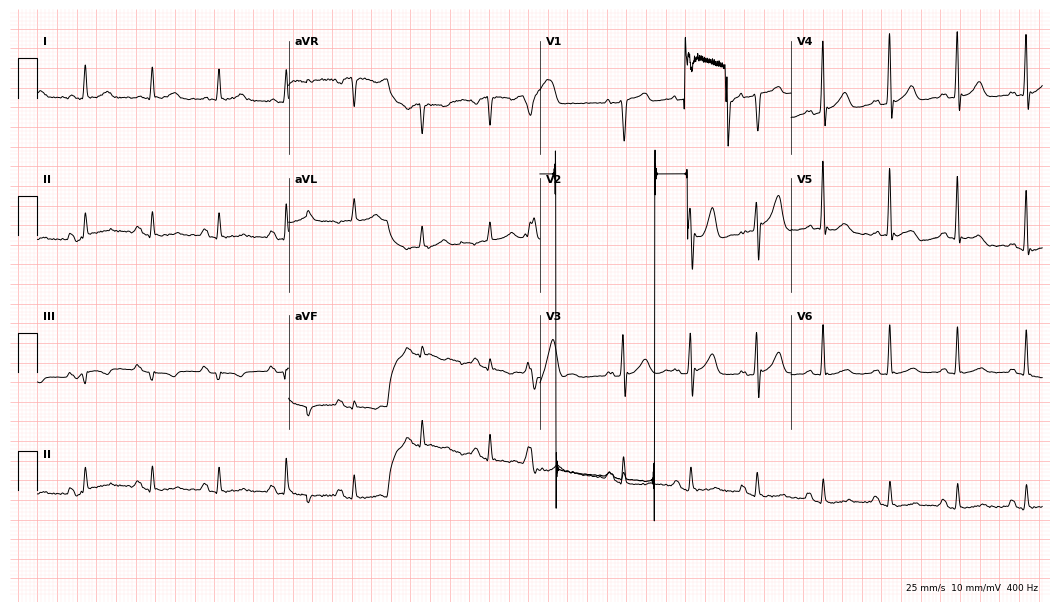
12-lead ECG from a 74-year-old male patient. Screened for six findings — first-degree AV block, right bundle branch block (RBBB), left bundle branch block (LBBB), sinus bradycardia, atrial fibrillation (AF), sinus tachycardia — none is recorded.